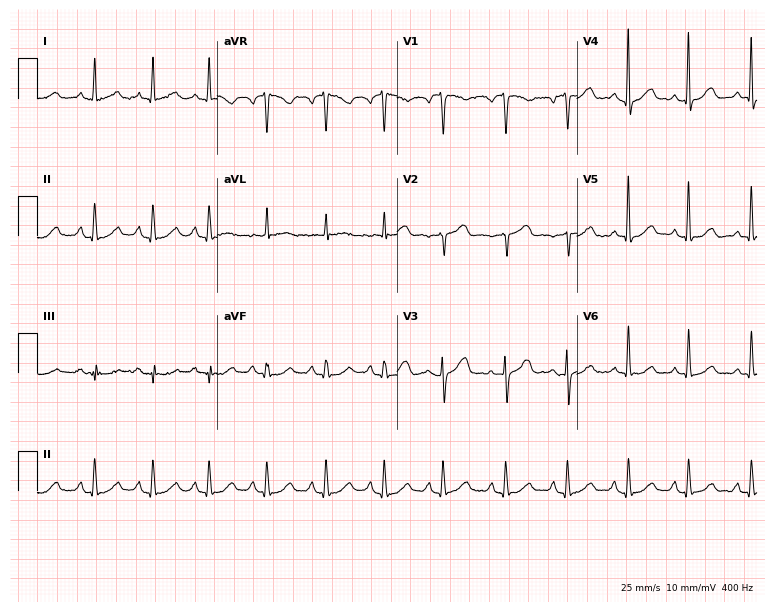
Resting 12-lead electrocardiogram. Patient: a 69-year-old female. Read as a normal ECG.